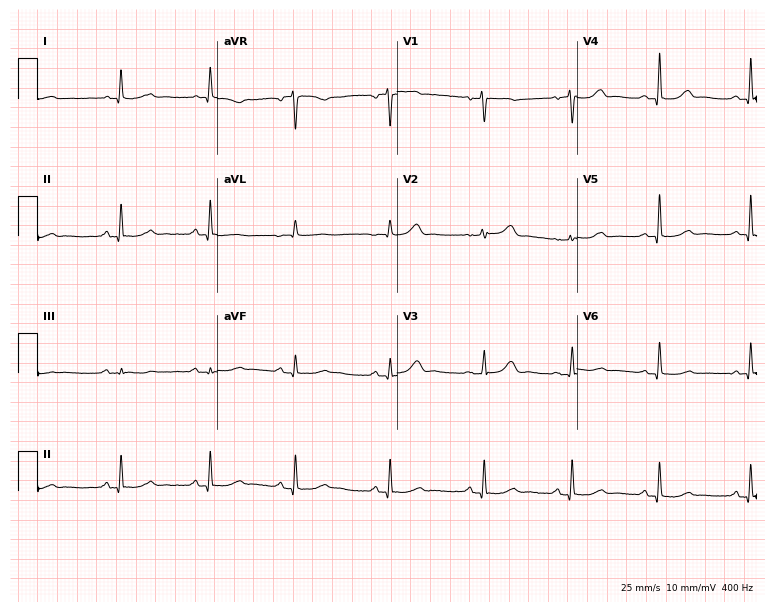
12-lead ECG (7.3-second recording at 400 Hz) from a woman, 80 years old. Screened for six findings — first-degree AV block, right bundle branch block, left bundle branch block, sinus bradycardia, atrial fibrillation, sinus tachycardia — none is recorded.